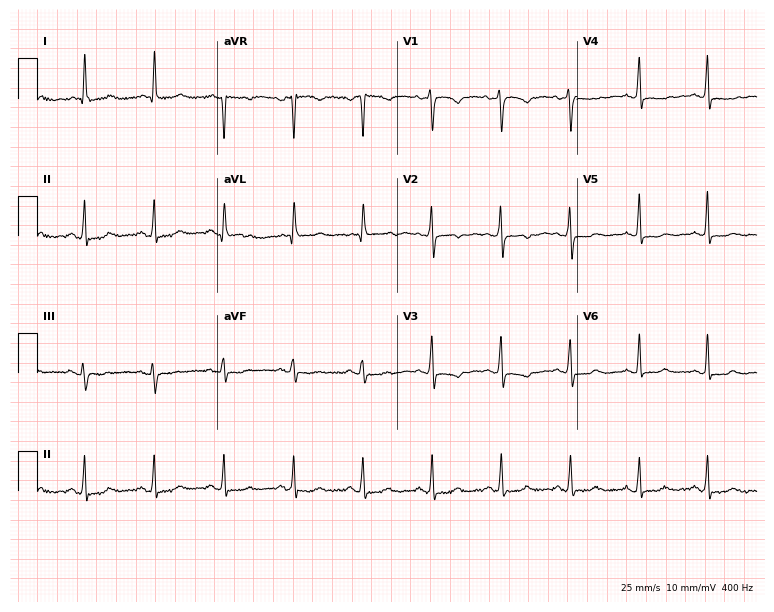
12-lead ECG from a female, 57 years old. Screened for six findings — first-degree AV block, right bundle branch block, left bundle branch block, sinus bradycardia, atrial fibrillation, sinus tachycardia — none is recorded.